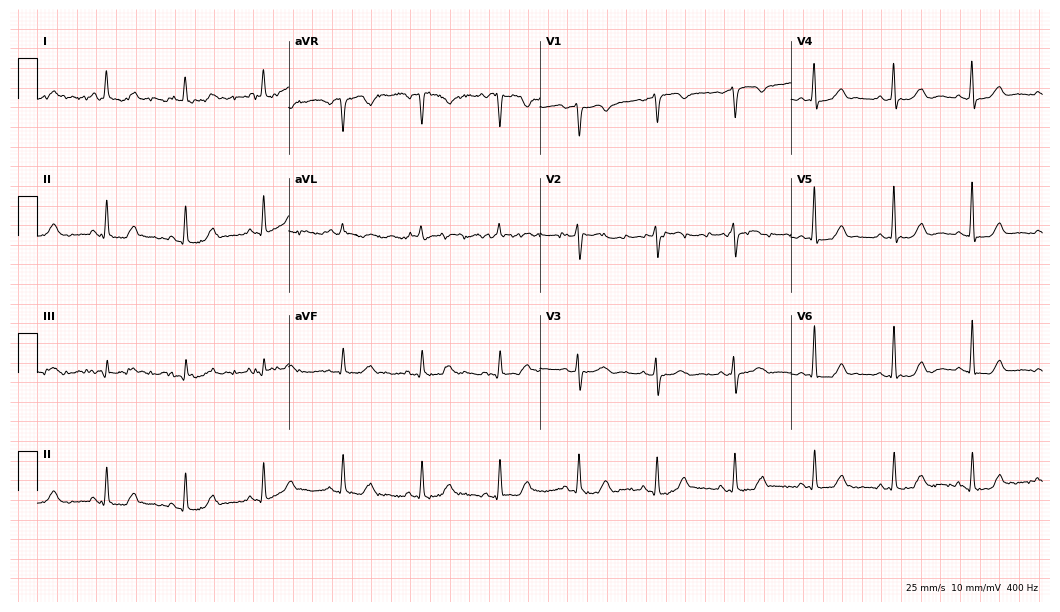
Resting 12-lead electrocardiogram (10.2-second recording at 400 Hz). Patient: a female, 82 years old. Read as a normal ECG.